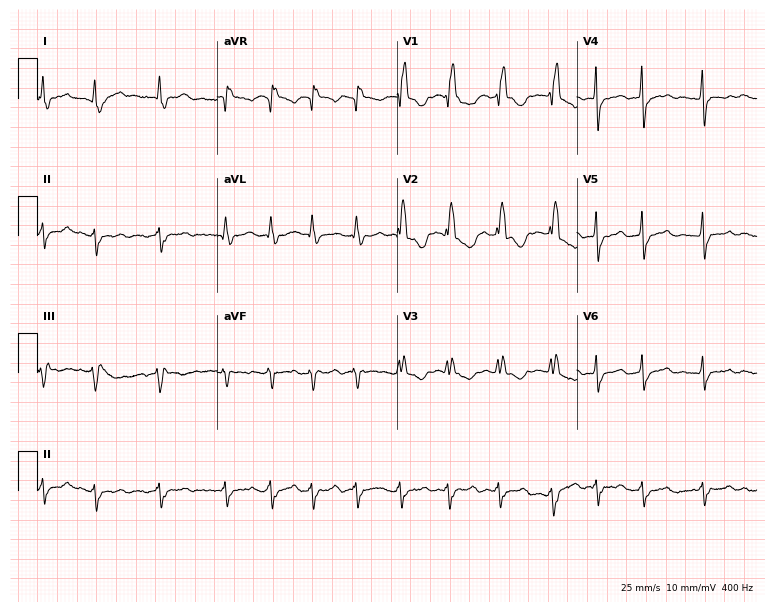
ECG — a 67-year-old woman. Findings include right bundle branch block, atrial fibrillation.